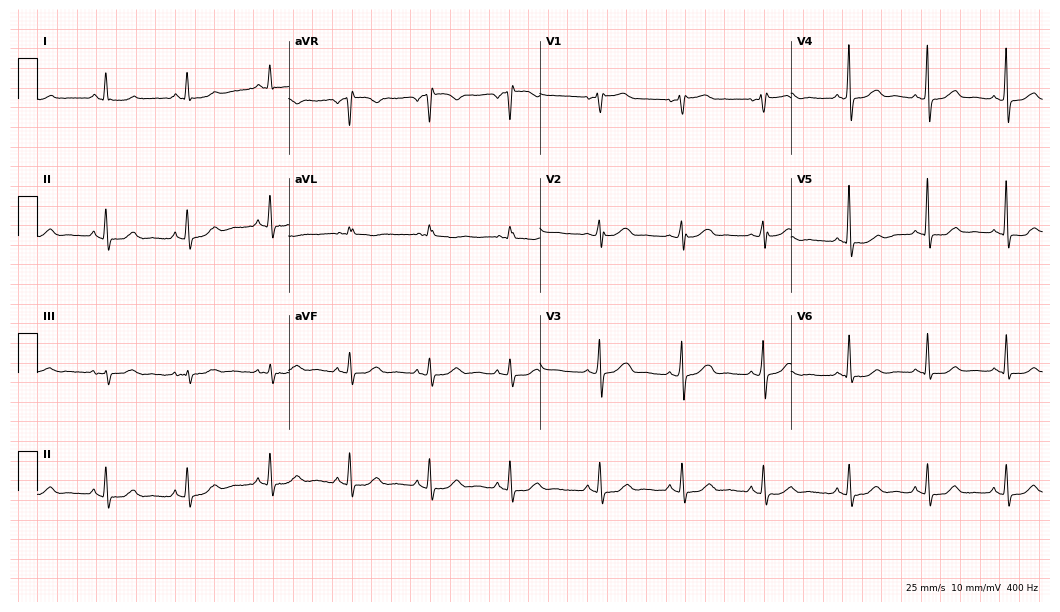
Standard 12-lead ECG recorded from a female patient, 66 years old (10.2-second recording at 400 Hz). None of these six findings is recorded: first-degree AV block, right bundle branch block, left bundle branch block, sinus bradycardia, atrial fibrillation, sinus tachycardia.